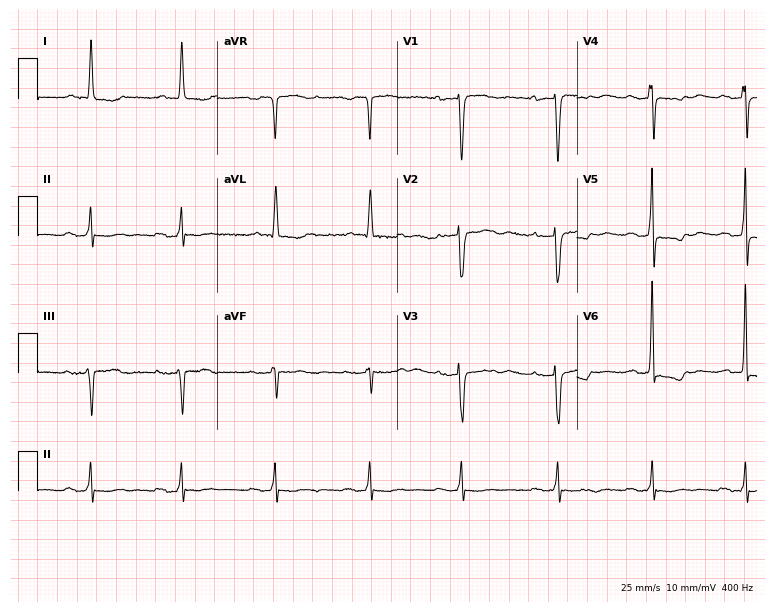
ECG (7.3-second recording at 400 Hz) — a female patient, 68 years old. Findings include first-degree AV block.